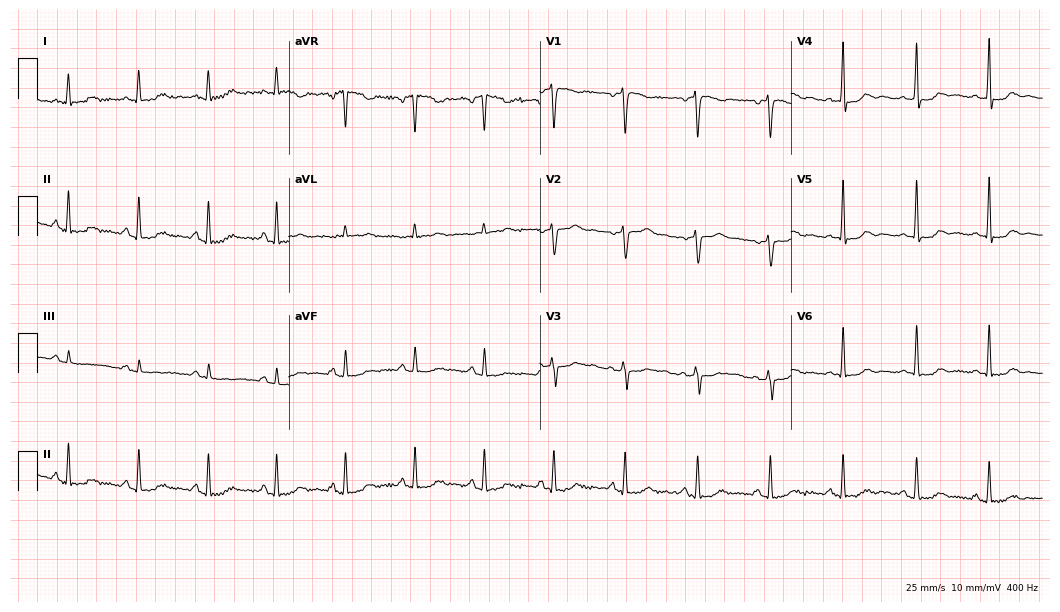
ECG (10.2-second recording at 400 Hz) — a female, 35 years old. Labelled as a normal ECG.